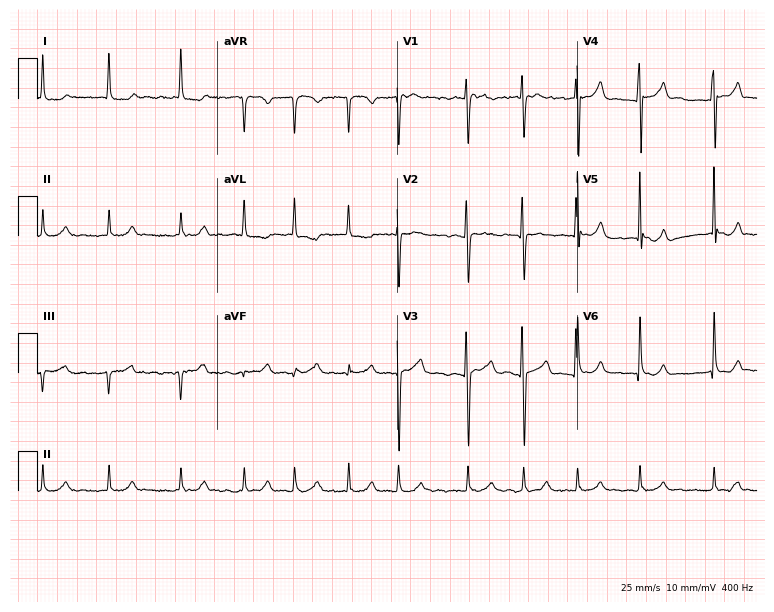
Standard 12-lead ECG recorded from a 71-year-old female. The tracing shows atrial fibrillation (AF).